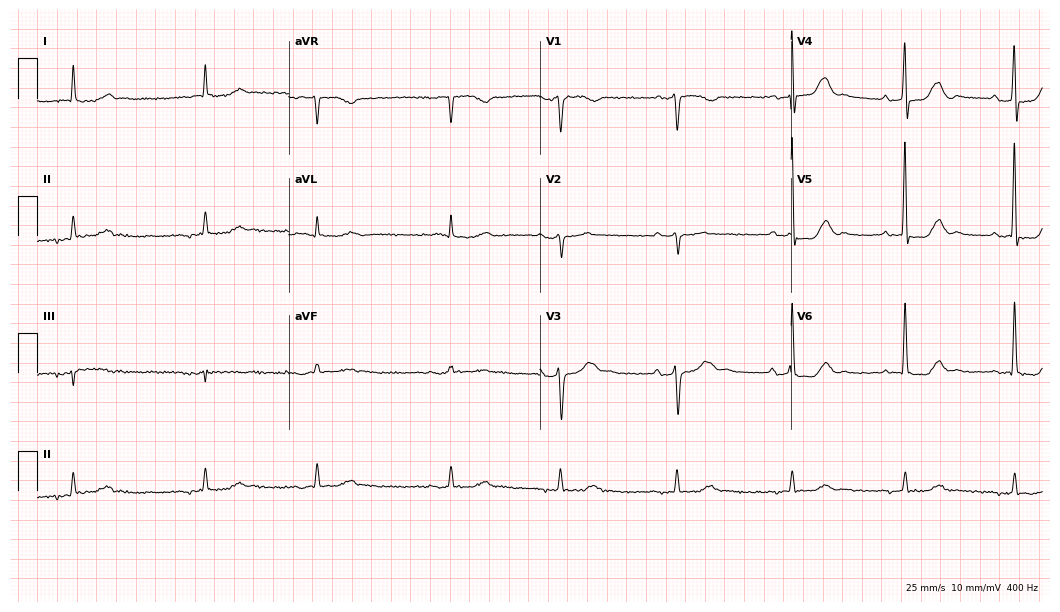
Resting 12-lead electrocardiogram (10.2-second recording at 400 Hz). Patient: a male, 68 years old. None of these six findings is recorded: first-degree AV block, right bundle branch block, left bundle branch block, sinus bradycardia, atrial fibrillation, sinus tachycardia. Findings outside these six are not listed.